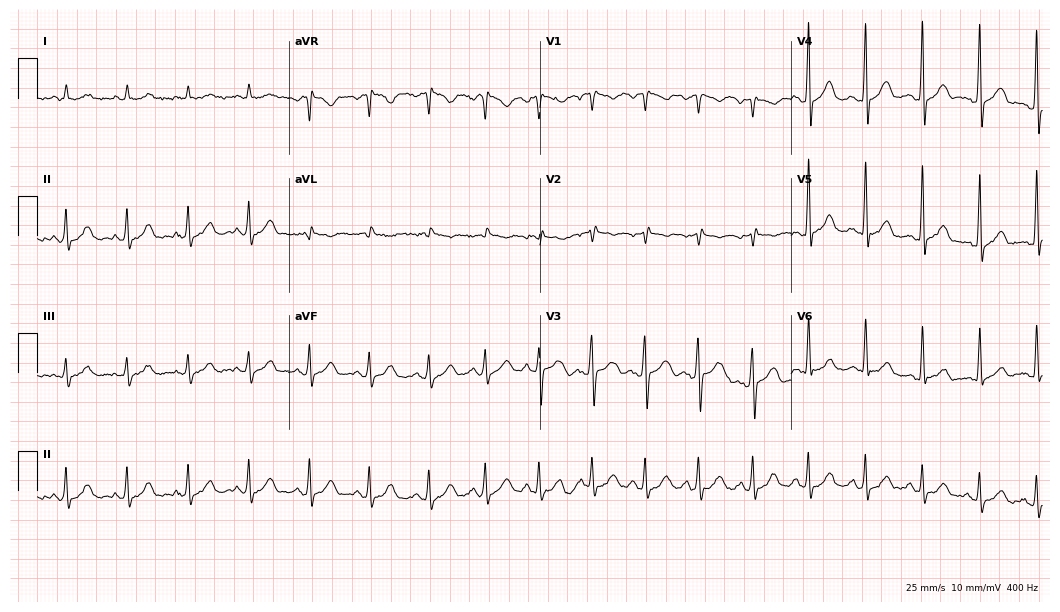
ECG (10.2-second recording at 400 Hz) — a 49-year-old male. Findings include sinus tachycardia (a sinus rate of 100 beats per minute or more).